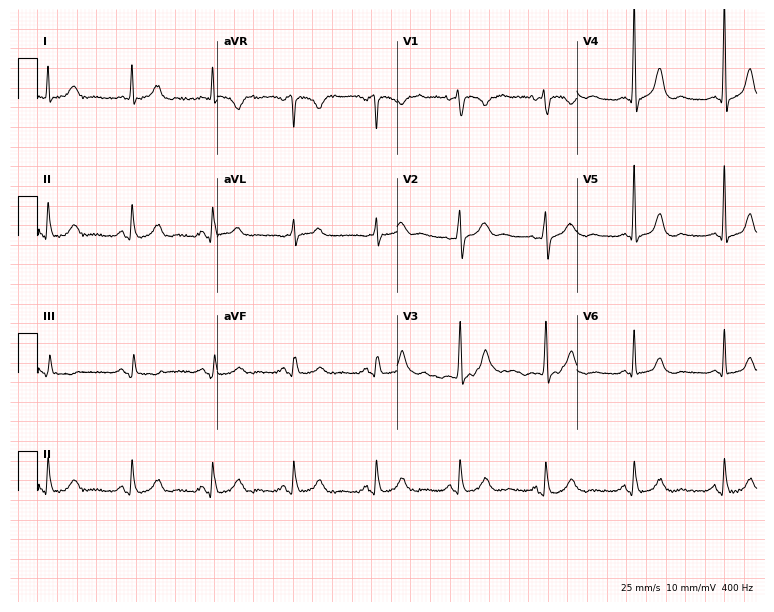
Electrocardiogram (7.3-second recording at 400 Hz), a 56-year-old male patient. Of the six screened findings (first-degree AV block, right bundle branch block, left bundle branch block, sinus bradycardia, atrial fibrillation, sinus tachycardia), none is recorded.